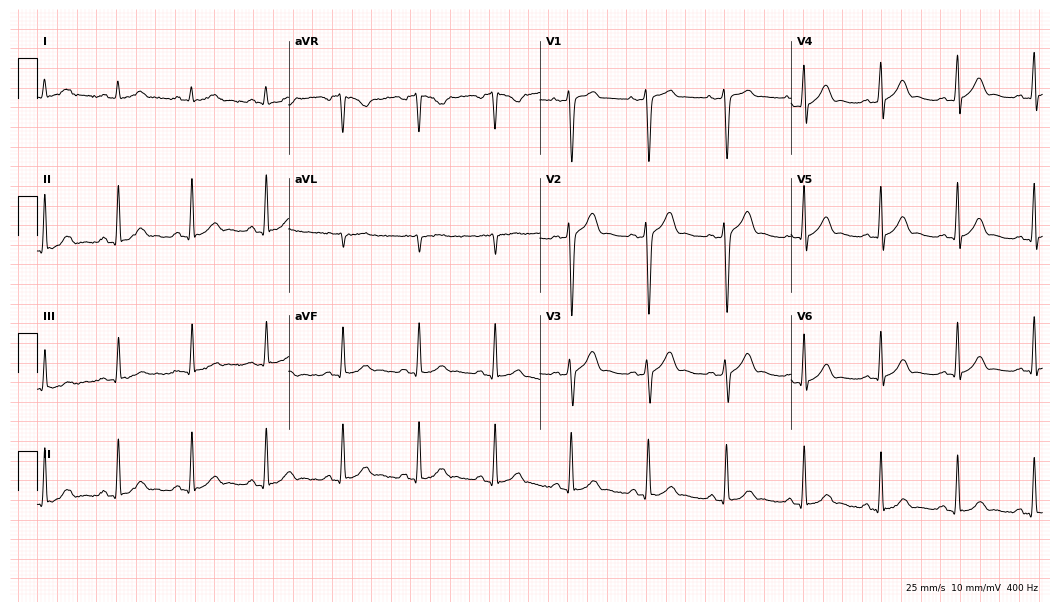
Resting 12-lead electrocardiogram. Patient: a 41-year-old male. None of these six findings is recorded: first-degree AV block, right bundle branch block, left bundle branch block, sinus bradycardia, atrial fibrillation, sinus tachycardia.